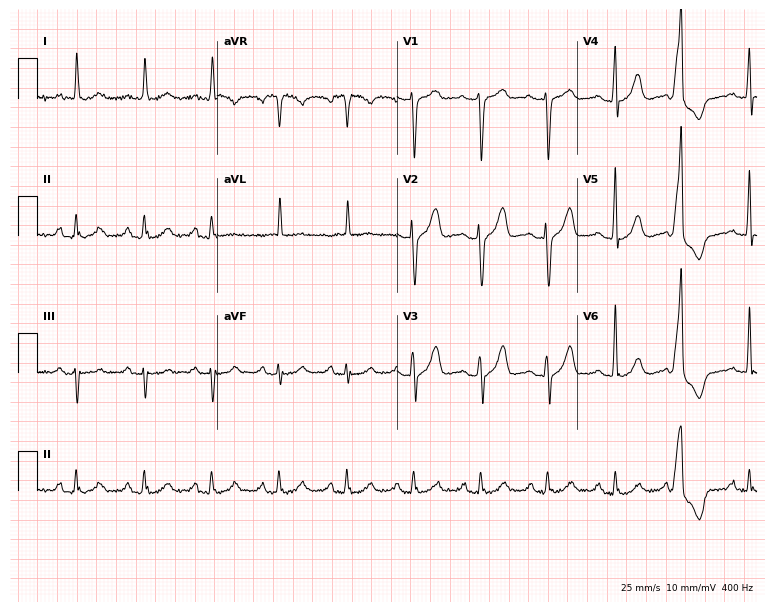
12-lead ECG from a man, 75 years old. Recorded interpretation: within normal limits.